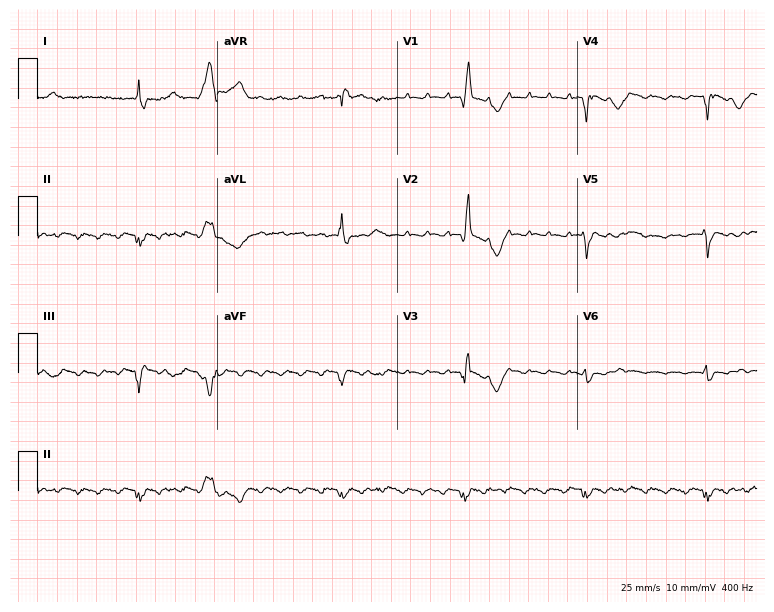
Electrocardiogram, a male patient, 46 years old. Interpretation includes right bundle branch block.